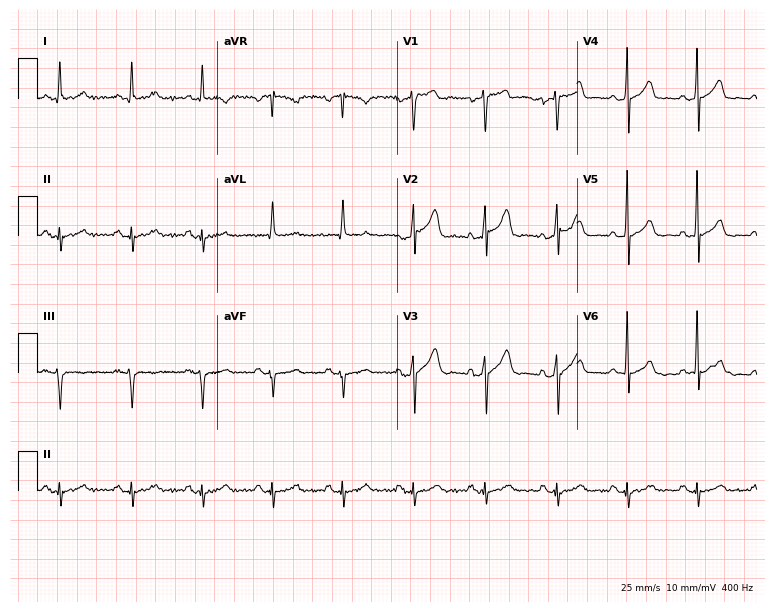
ECG — a 46-year-old male patient. Screened for six findings — first-degree AV block, right bundle branch block (RBBB), left bundle branch block (LBBB), sinus bradycardia, atrial fibrillation (AF), sinus tachycardia — none is recorded.